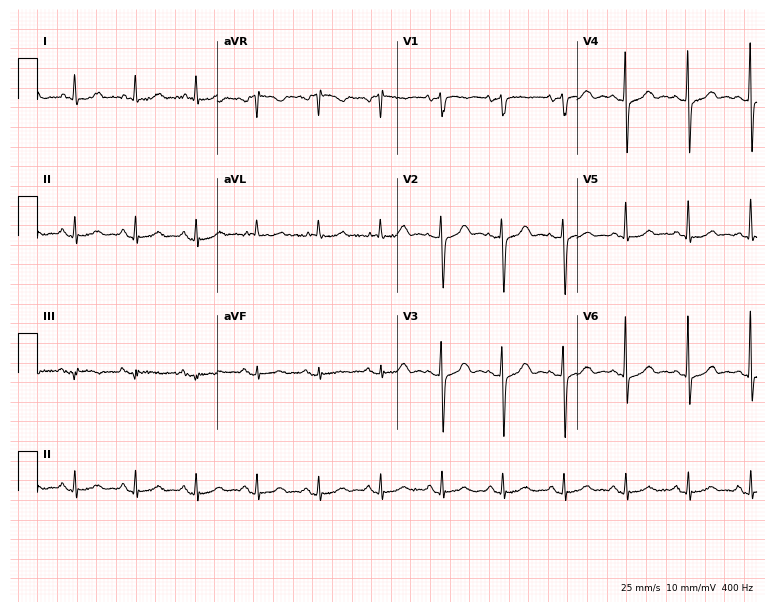
Standard 12-lead ECG recorded from a 74-year-old woman. None of these six findings is recorded: first-degree AV block, right bundle branch block, left bundle branch block, sinus bradycardia, atrial fibrillation, sinus tachycardia.